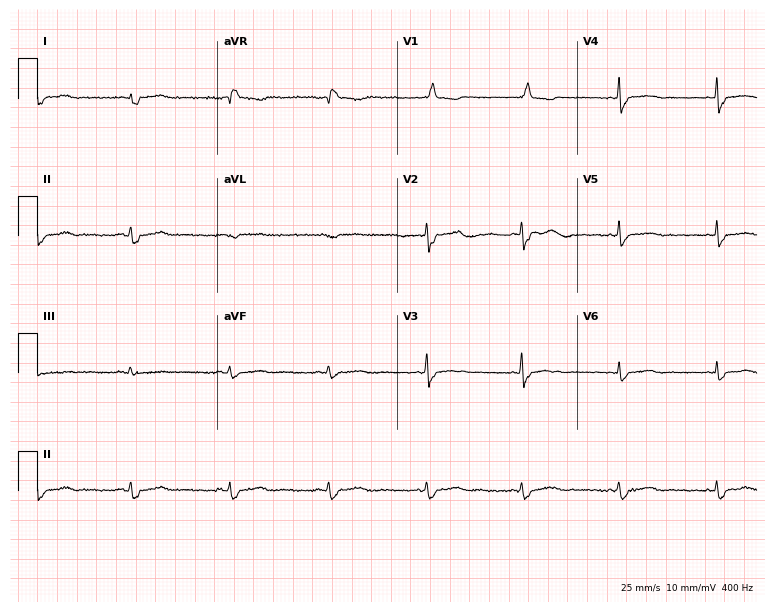
Electrocardiogram (7.3-second recording at 400 Hz), a 41-year-old female. Interpretation includes right bundle branch block (RBBB).